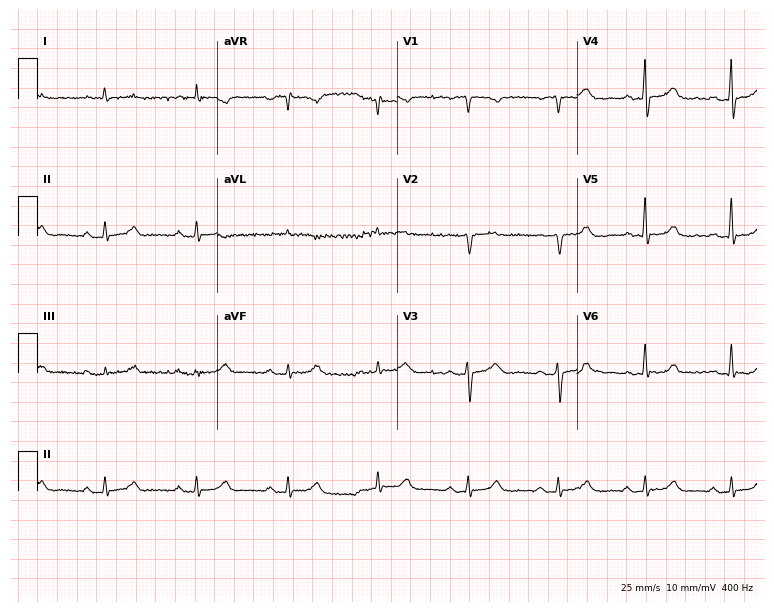
12-lead ECG from a male patient, 76 years old. Labelled as a normal ECG.